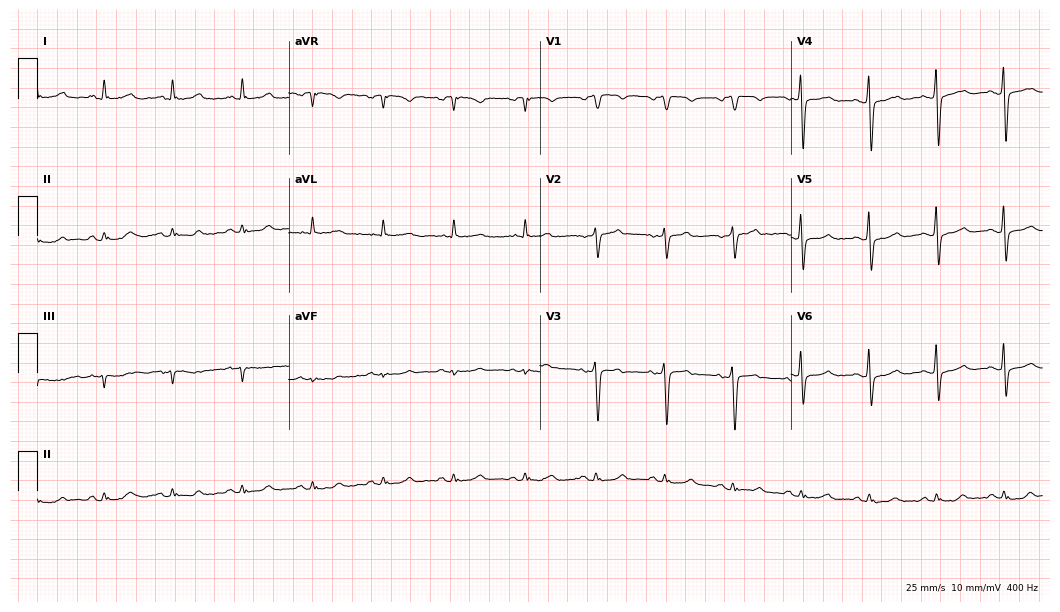
Electrocardiogram (10.2-second recording at 400 Hz), a male patient, 63 years old. Of the six screened findings (first-degree AV block, right bundle branch block, left bundle branch block, sinus bradycardia, atrial fibrillation, sinus tachycardia), none is recorded.